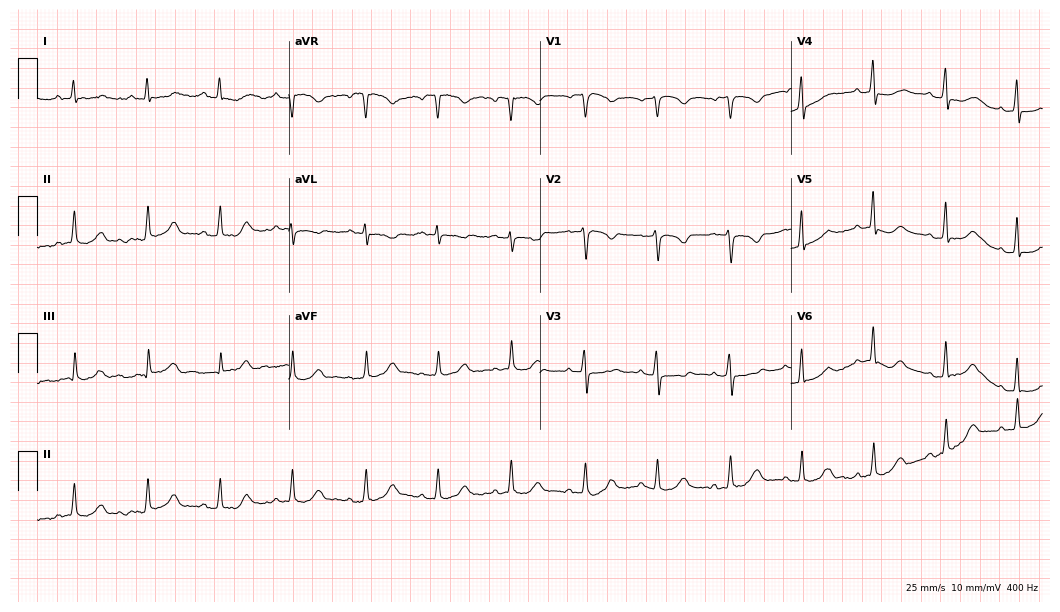
12-lead ECG from a female, 53 years old. No first-degree AV block, right bundle branch block (RBBB), left bundle branch block (LBBB), sinus bradycardia, atrial fibrillation (AF) or sinus tachycardia recorded for this tracing. Other findings, if any, are not listed.